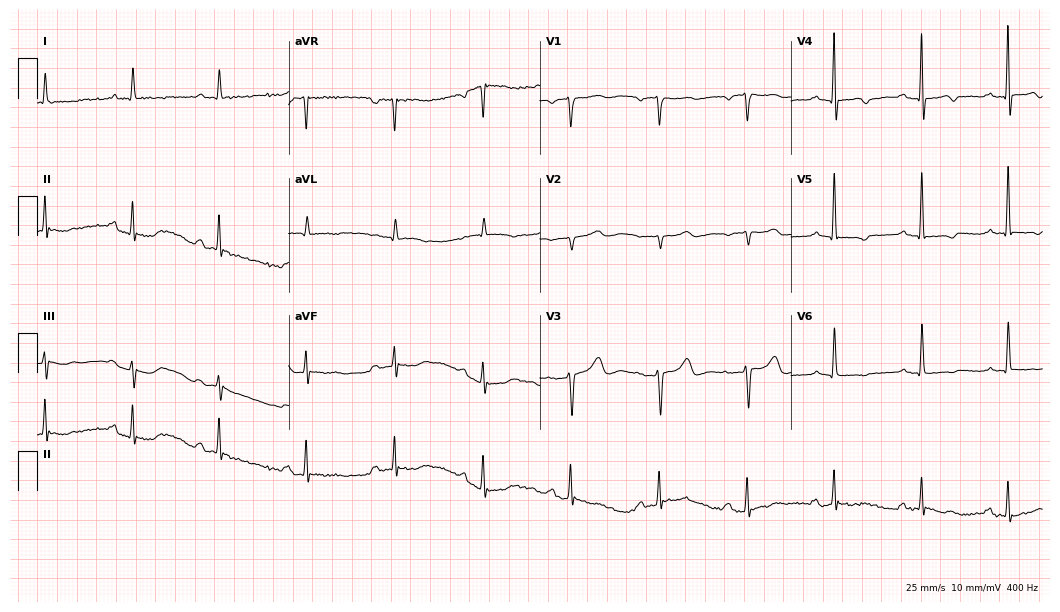
Electrocardiogram, a 69-year-old female. Of the six screened findings (first-degree AV block, right bundle branch block, left bundle branch block, sinus bradycardia, atrial fibrillation, sinus tachycardia), none is recorded.